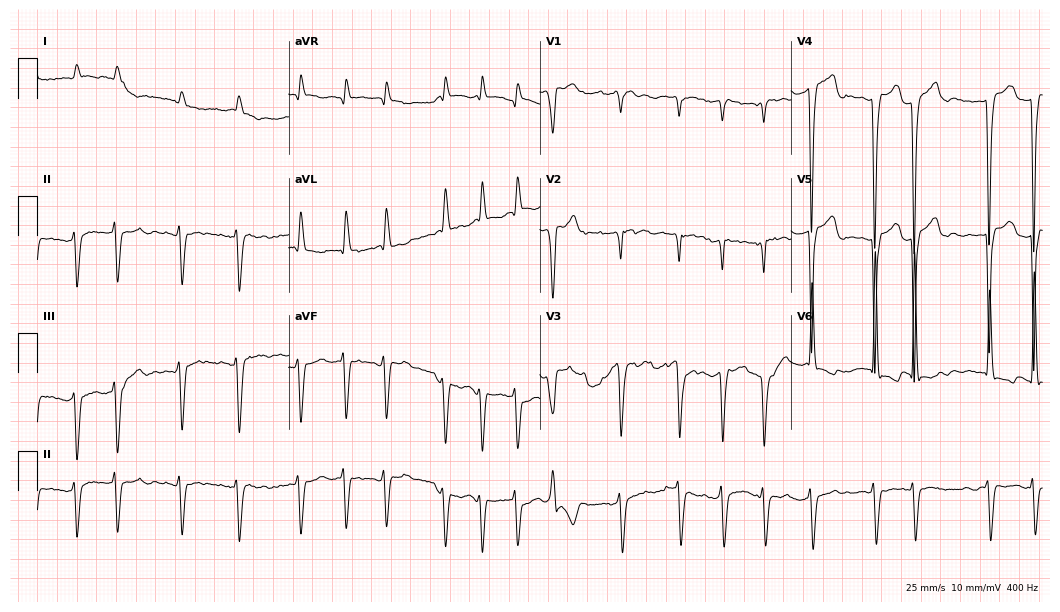
12-lead ECG from a man, 85 years old. Findings include atrial fibrillation (AF).